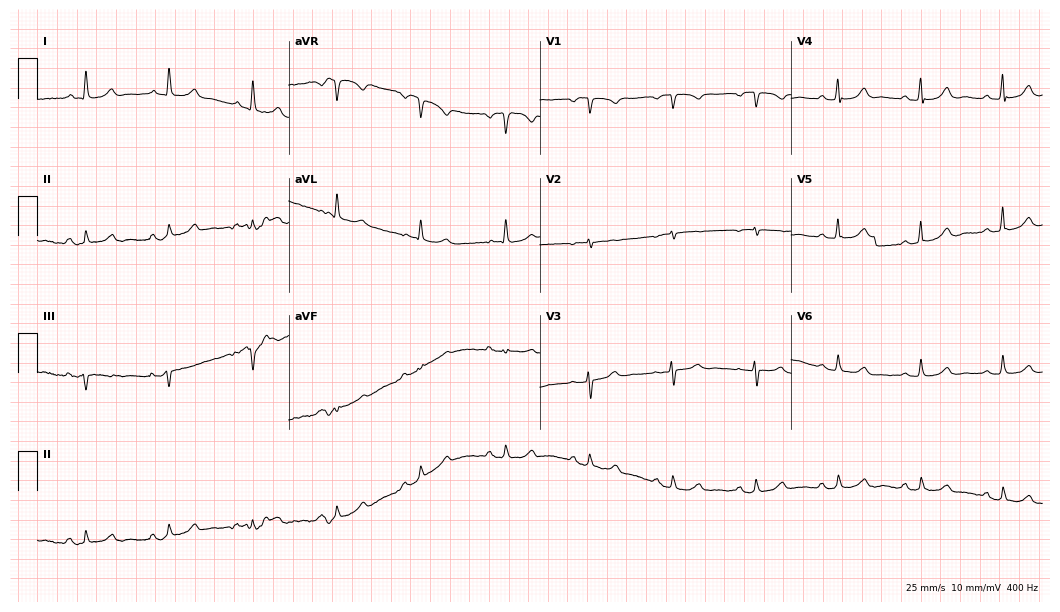
12-lead ECG from a 76-year-old woman (10.2-second recording at 400 Hz). Recorded interpretation: within normal limits.